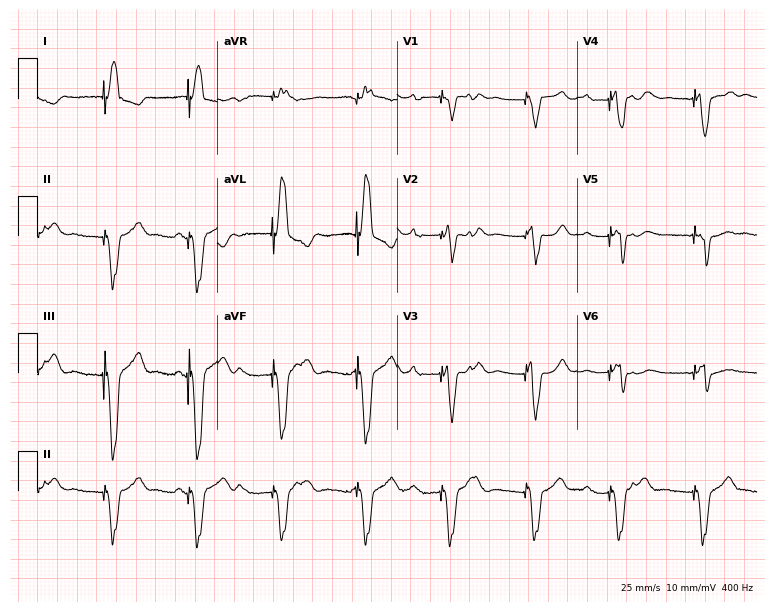
Electrocardiogram, a 61-year-old woman. Of the six screened findings (first-degree AV block, right bundle branch block, left bundle branch block, sinus bradycardia, atrial fibrillation, sinus tachycardia), none is recorded. Other findings, if any, are not listed.